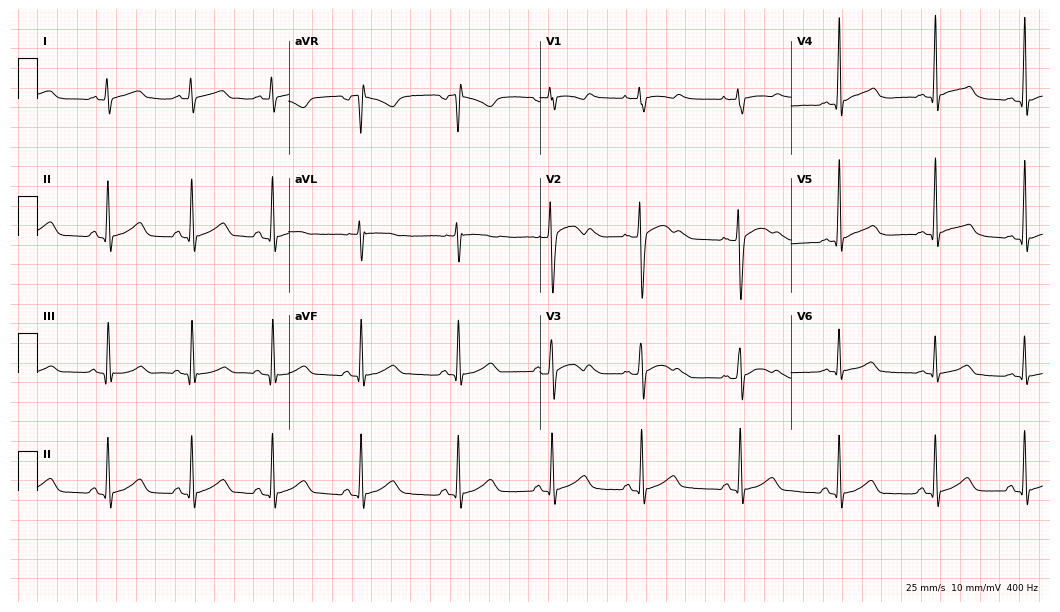
Standard 12-lead ECG recorded from a 17-year-old man (10.2-second recording at 400 Hz). Read as a normal ECG.